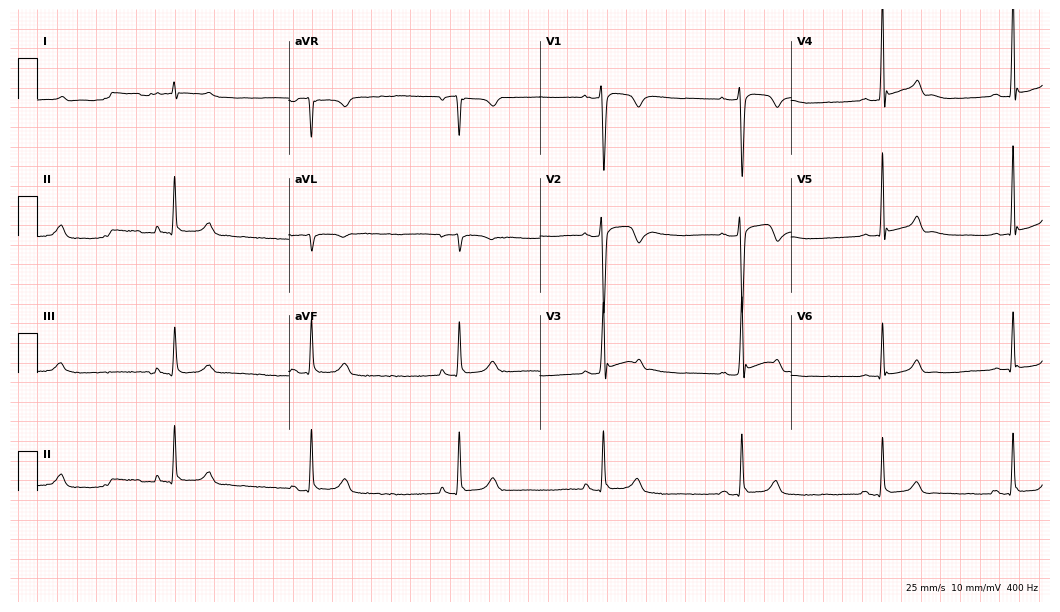
12-lead ECG from a male patient, 21 years old (10.2-second recording at 400 Hz). Shows sinus bradycardia (a sinus rate of 50 beats per minute or less).